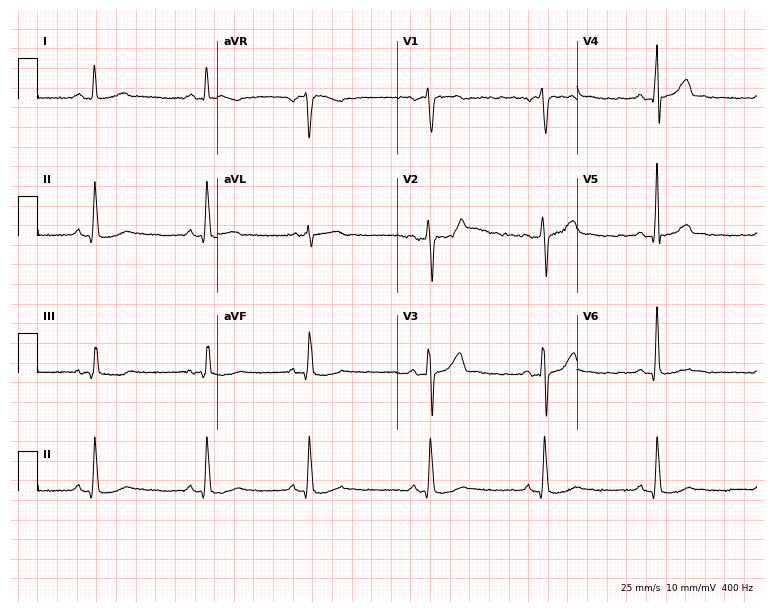
12-lead ECG from a 31-year-old male. Recorded interpretation: within normal limits.